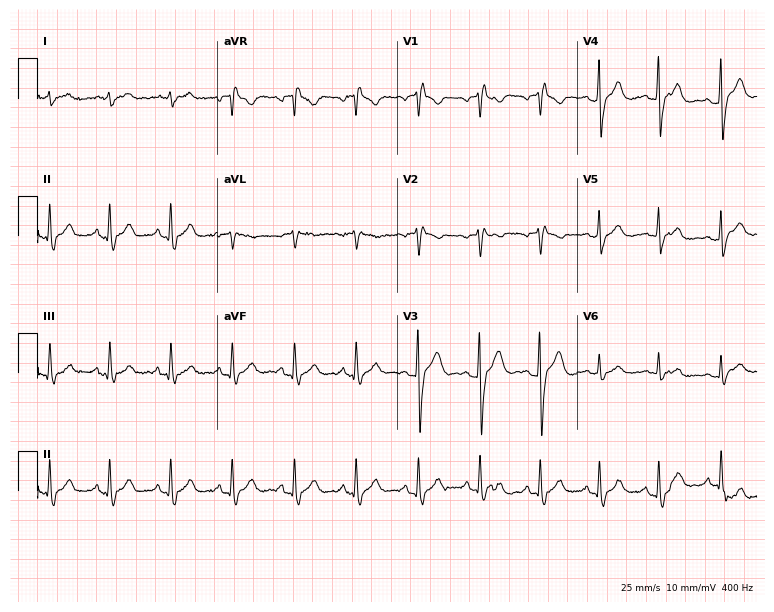
12-lead ECG from a 47-year-old woman (7.3-second recording at 400 Hz). No first-degree AV block, right bundle branch block, left bundle branch block, sinus bradycardia, atrial fibrillation or sinus tachycardia recorded for this tracing.